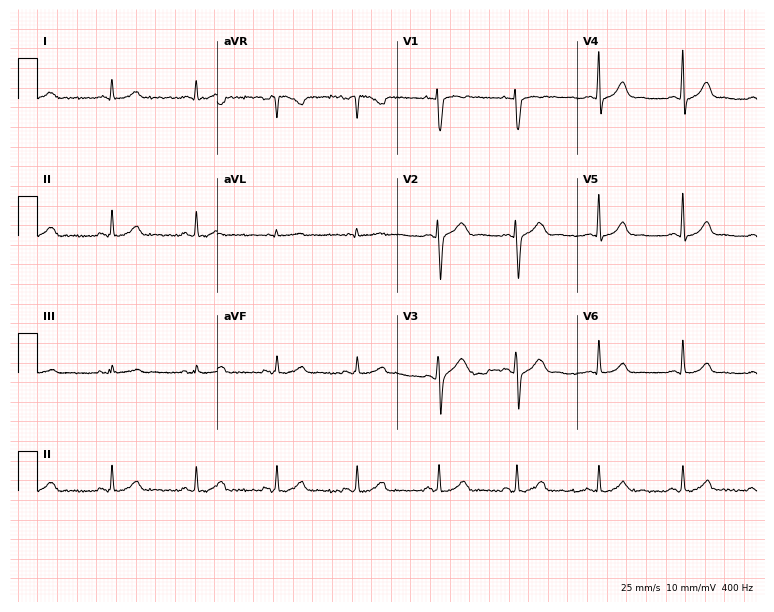
Standard 12-lead ECG recorded from a 25-year-old female patient (7.3-second recording at 400 Hz). None of these six findings is recorded: first-degree AV block, right bundle branch block (RBBB), left bundle branch block (LBBB), sinus bradycardia, atrial fibrillation (AF), sinus tachycardia.